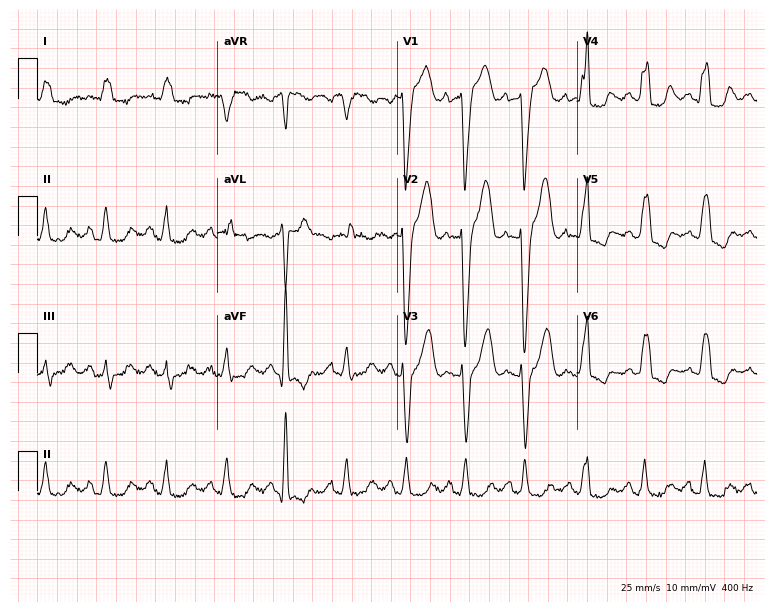
ECG — a 78-year-old female. Findings include left bundle branch block (LBBB).